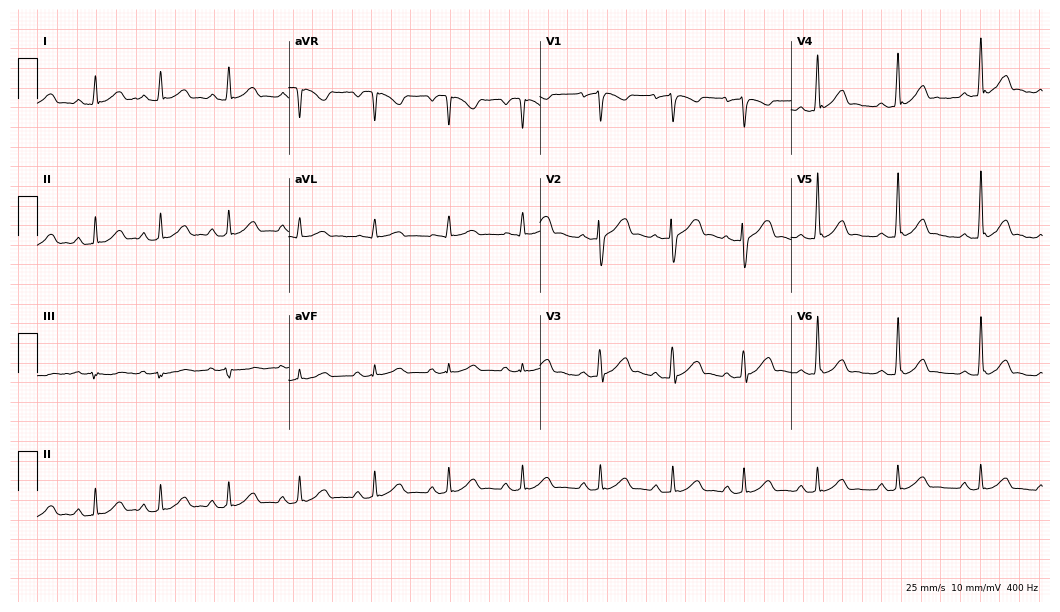
12-lead ECG from a male patient, 29 years old. Recorded interpretation: within normal limits.